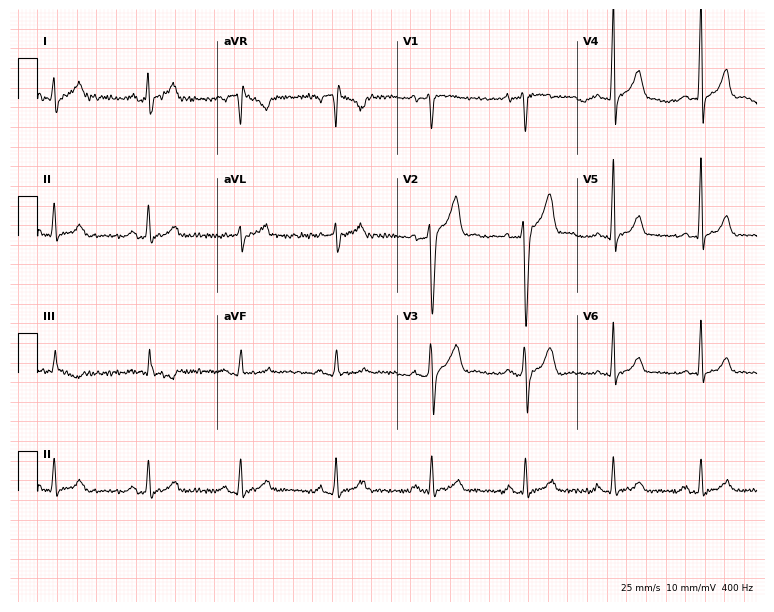
12-lead ECG from a man, 36 years old. Labelled as a normal ECG.